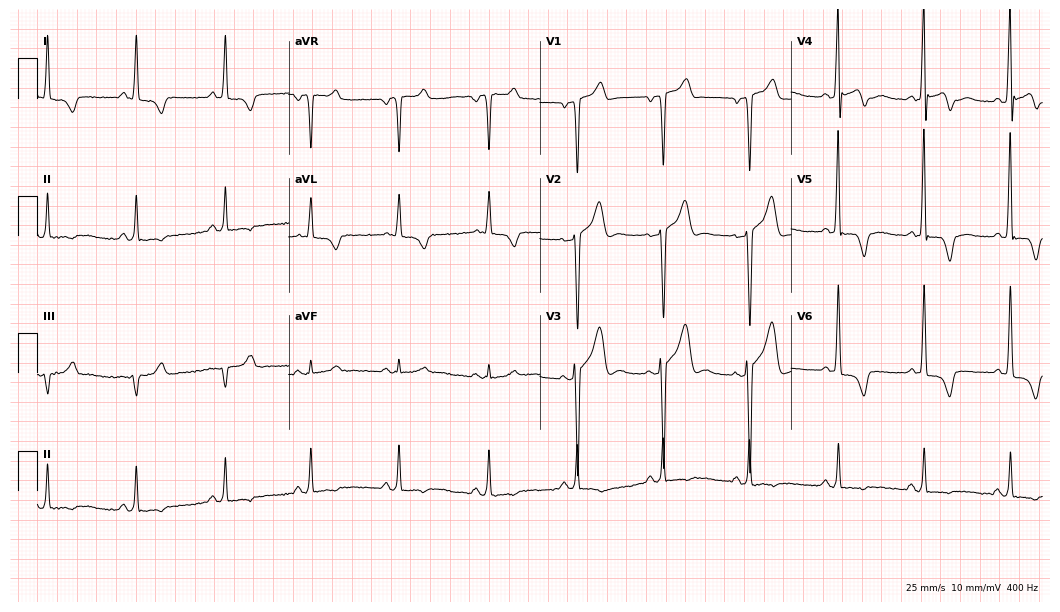
12-lead ECG from a male patient, 41 years old. No first-degree AV block, right bundle branch block, left bundle branch block, sinus bradycardia, atrial fibrillation or sinus tachycardia recorded for this tracing.